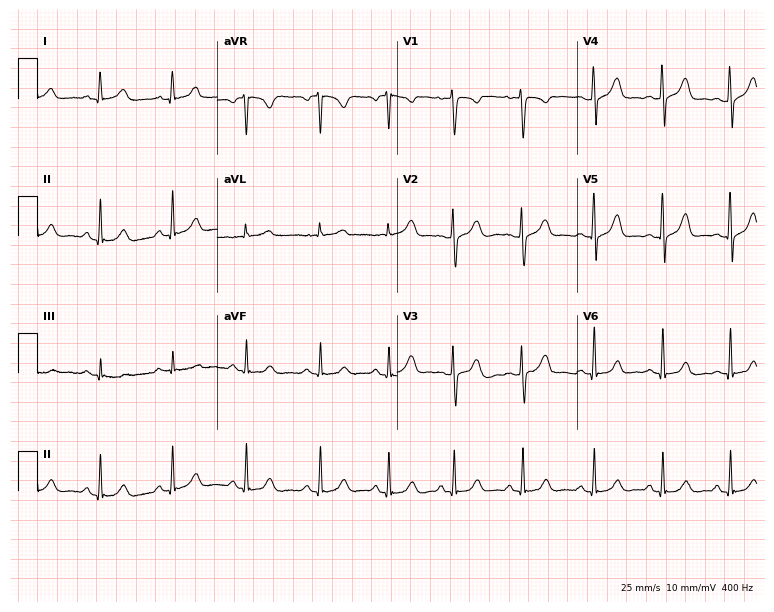
Standard 12-lead ECG recorded from a 26-year-old female. Read as a normal ECG.